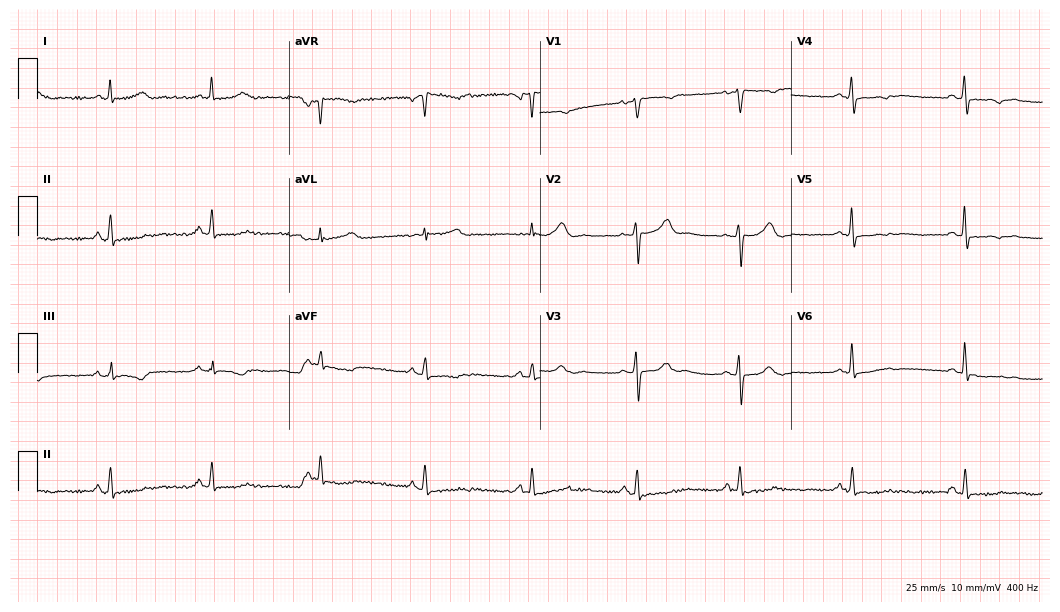
Electrocardiogram, a 44-year-old female. Of the six screened findings (first-degree AV block, right bundle branch block, left bundle branch block, sinus bradycardia, atrial fibrillation, sinus tachycardia), none is recorded. Findings outside these six are not listed.